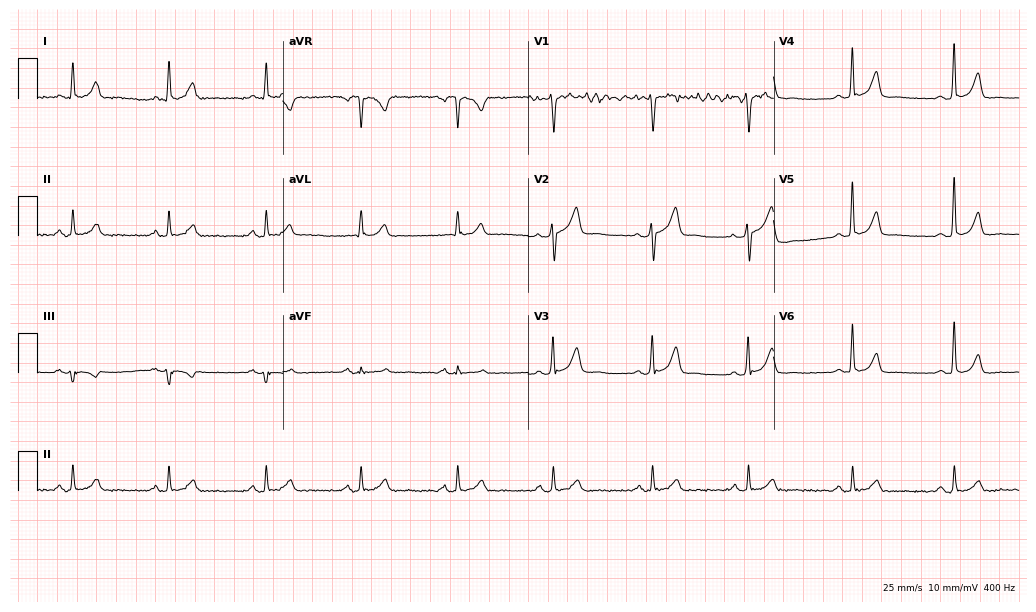
ECG (10-second recording at 400 Hz) — a male patient, 63 years old. Screened for six findings — first-degree AV block, right bundle branch block, left bundle branch block, sinus bradycardia, atrial fibrillation, sinus tachycardia — none is recorded. Other findings, if any, are not listed.